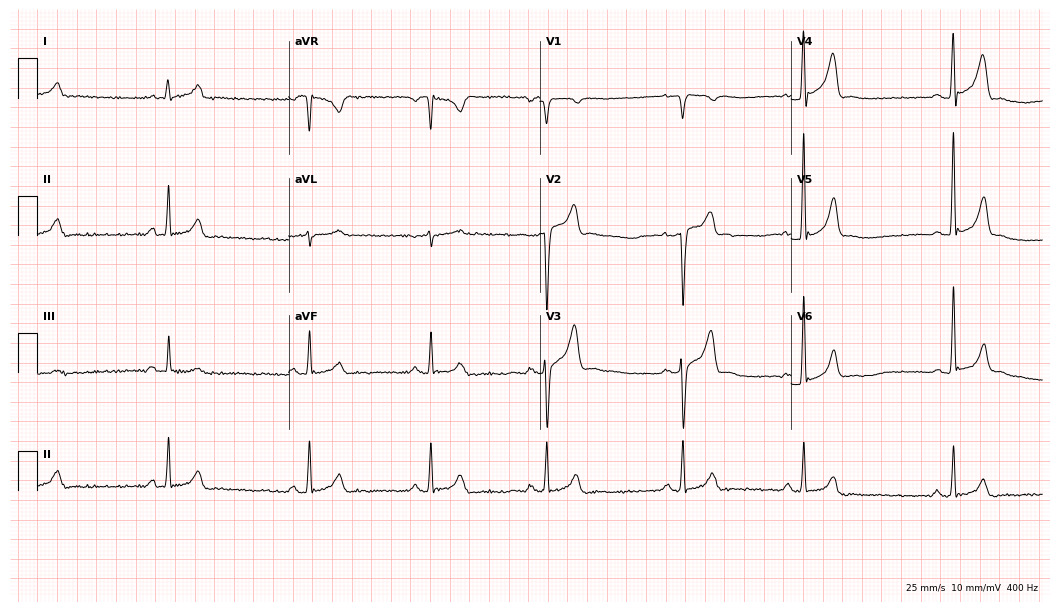
ECG (10.2-second recording at 400 Hz) — a male patient, 34 years old. Screened for six findings — first-degree AV block, right bundle branch block (RBBB), left bundle branch block (LBBB), sinus bradycardia, atrial fibrillation (AF), sinus tachycardia — none is recorded. Other findings, if any, are not listed.